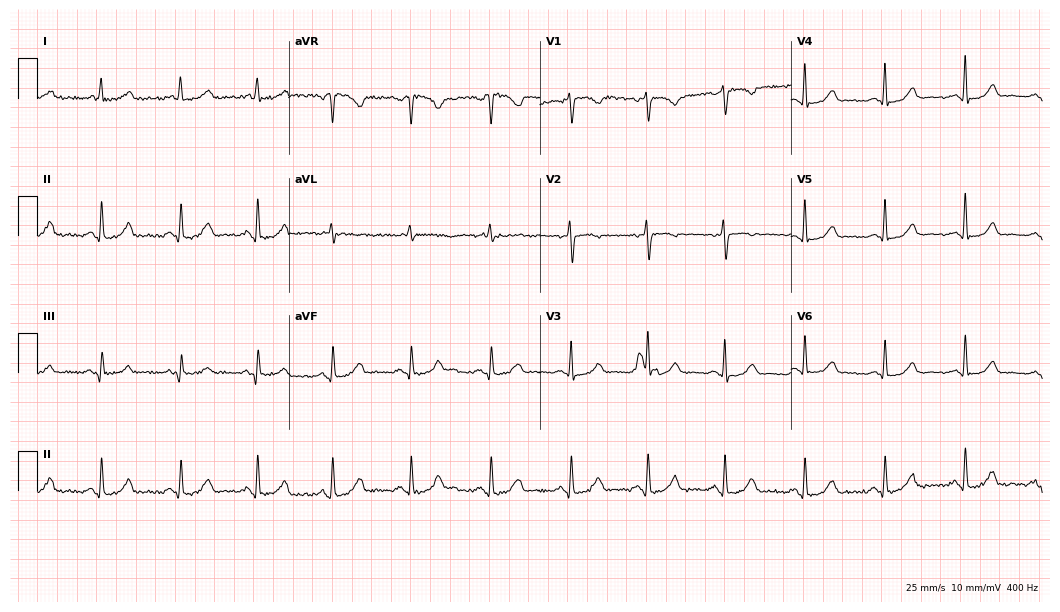
ECG (10.2-second recording at 400 Hz) — a woman, 39 years old. Labelled as a normal ECG.